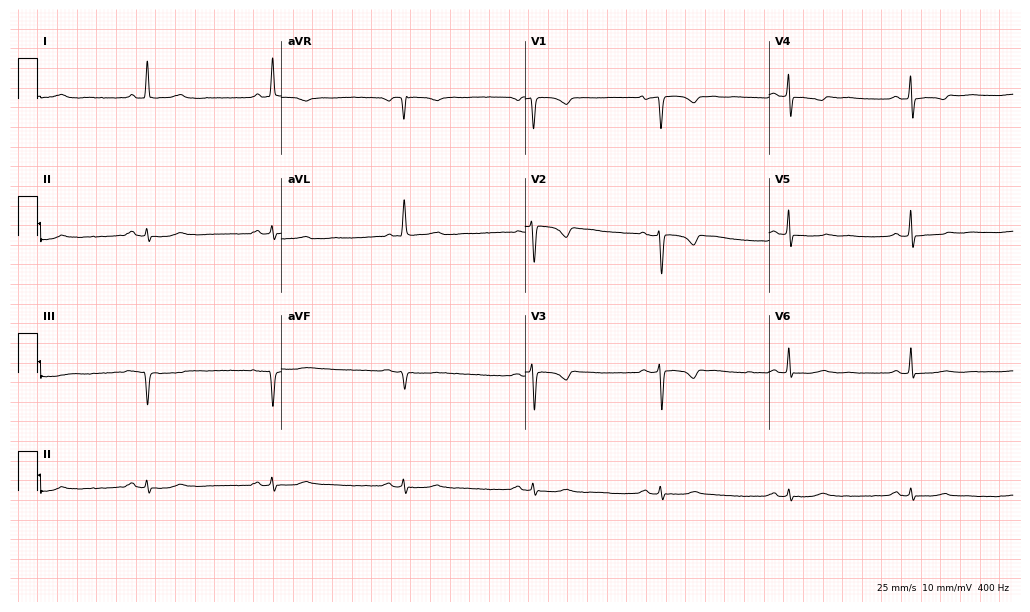
12-lead ECG from an 83-year-old female patient (9.9-second recording at 400 Hz). Shows sinus bradycardia (a sinus rate of 50 beats per minute or less).